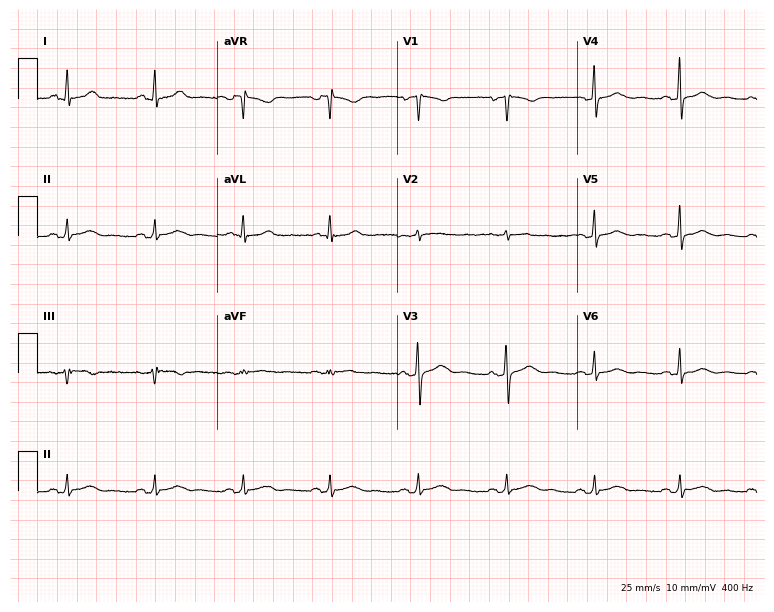
Electrocardiogram, a female, 61 years old. Of the six screened findings (first-degree AV block, right bundle branch block (RBBB), left bundle branch block (LBBB), sinus bradycardia, atrial fibrillation (AF), sinus tachycardia), none is recorded.